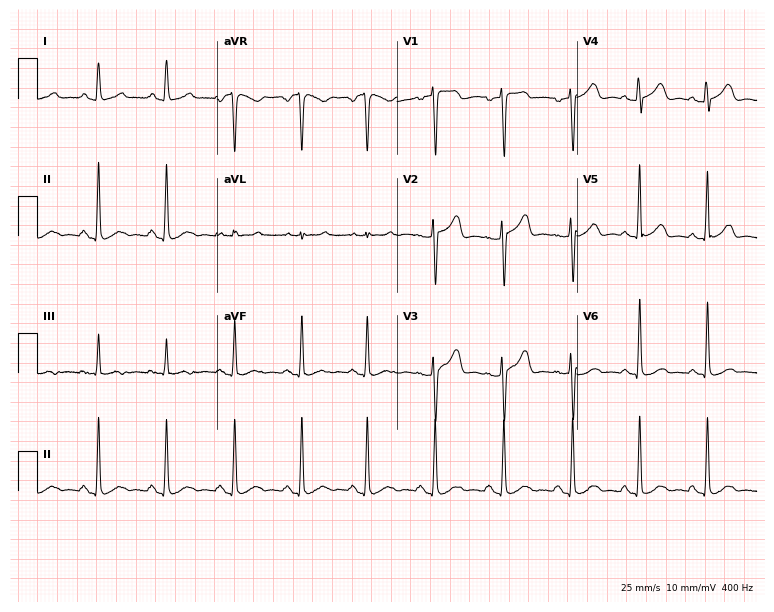
12-lead ECG (7.3-second recording at 400 Hz) from a 28-year-old woman. Screened for six findings — first-degree AV block, right bundle branch block, left bundle branch block, sinus bradycardia, atrial fibrillation, sinus tachycardia — none is recorded. Only these six findings were labelled.